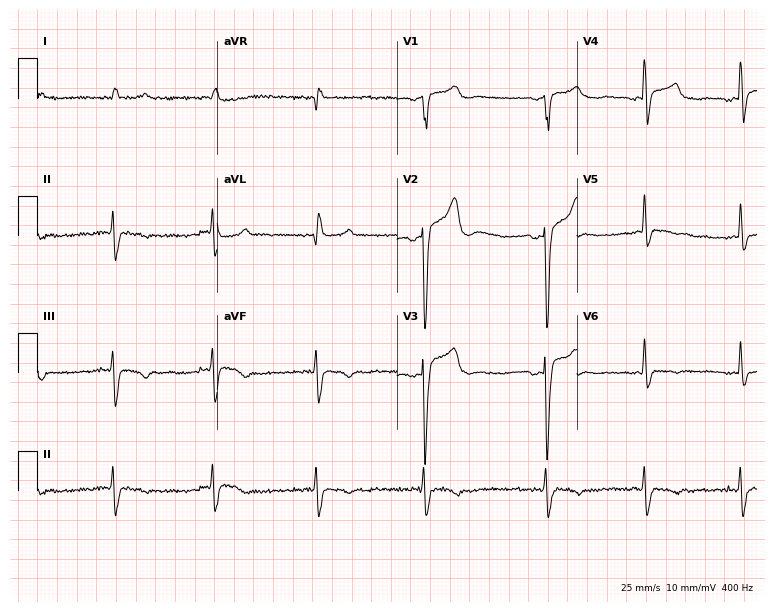
Resting 12-lead electrocardiogram (7.3-second recording at 400 Hz). Patient: a man, 80 years old. None of these six findings is recorded: first-degree AV block, right bundle branch block, left bundle branch block, sinus bradycardia, atrial fibrillation, sinus tachycardia. Other findings, if any, are not listed.